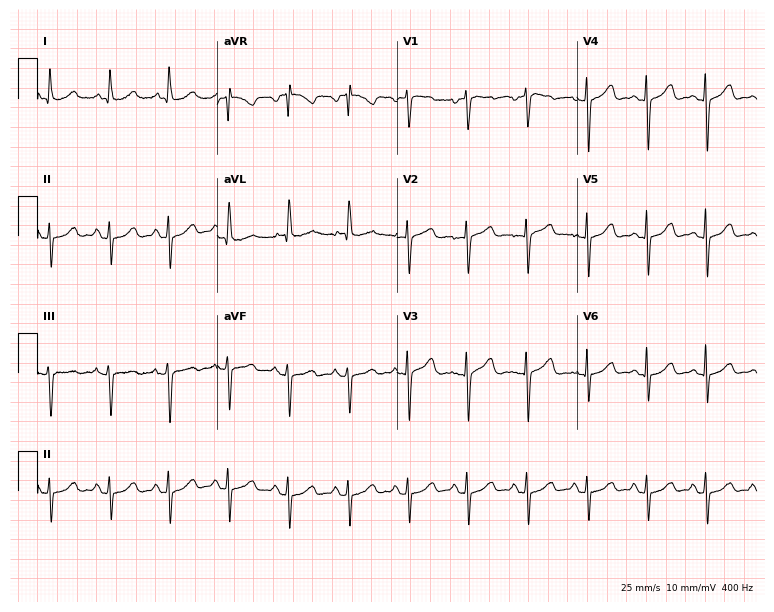
12-lead ECG (7.3-second recording at 400 Hz) from a female patient, 83 years old. Screened for six findings — first-degree AV block, right bundle branch block (RBBB), left bundle branch block (LBBB), sinus bradycardia, atrial fibrillation (AF), sinus tachycardia — none is recorded.